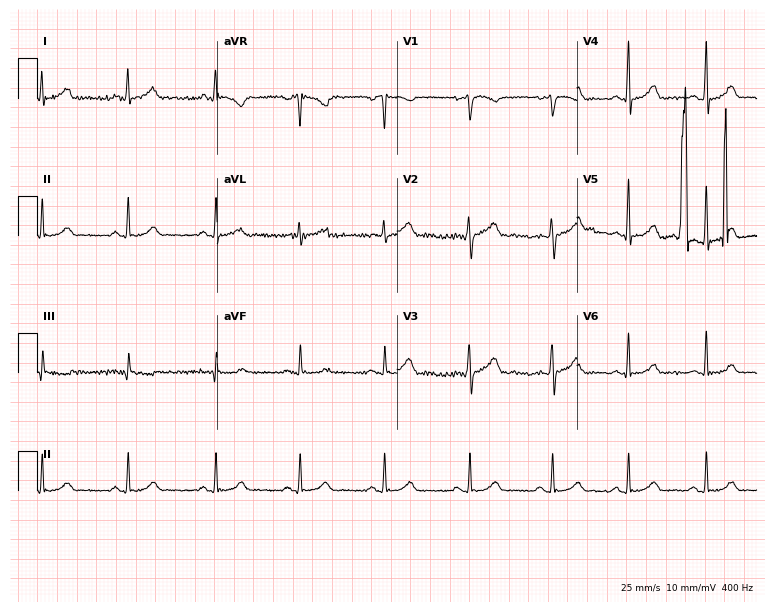
12-lead ECG (7.3-second recording at 400 Hz) from a 31-year-old female. Labelled as a normal ECG.